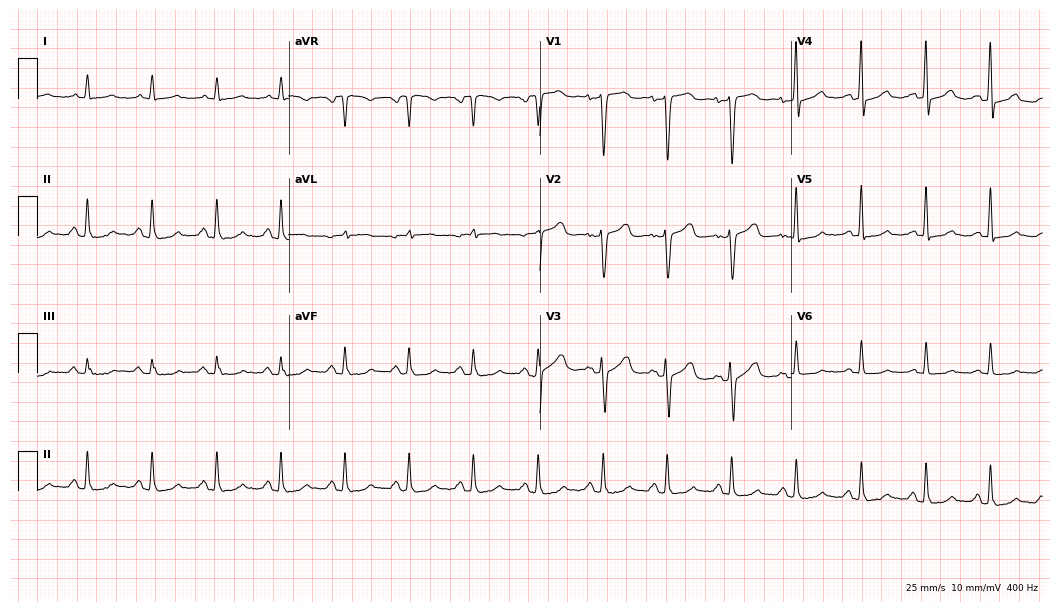
ECG — a 56-year-old female patient. Screened for six findings — first-degree AV block, right bundle branch block, left bundle branch block, sinus bradycardia, atrial fibrillation, sinus tachycardia — none is recorded. Other findings, if any, are not listed.